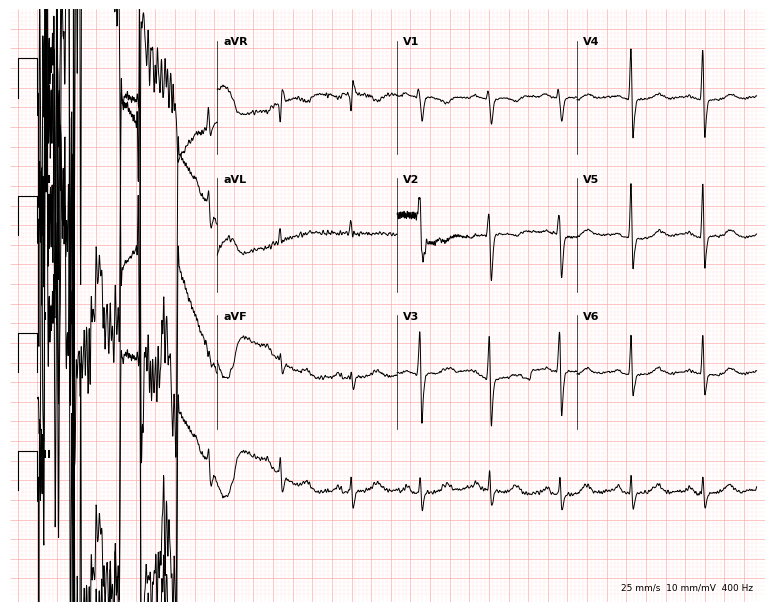
12-lead ECG from a woman, 62 years old. No first-degree AV block, right bundle branch block (RBBB), left bundle branch block (LBBB), sinus bradycardia, atrial fibrillation (AF) or sinus tachycardia recorded for this tracing. Other findings, if any, are not listed.